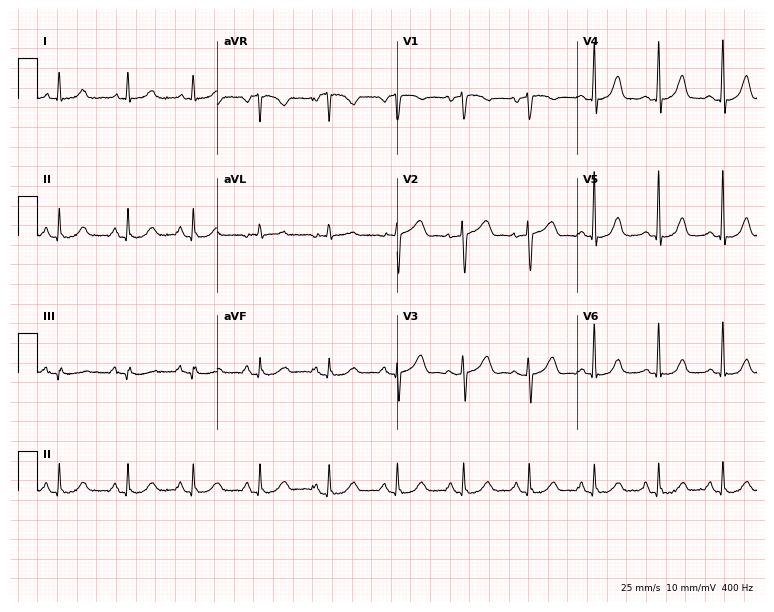
Electrocardiogram, a female patient, 64 years old. Overall reading on record: normal ECG.